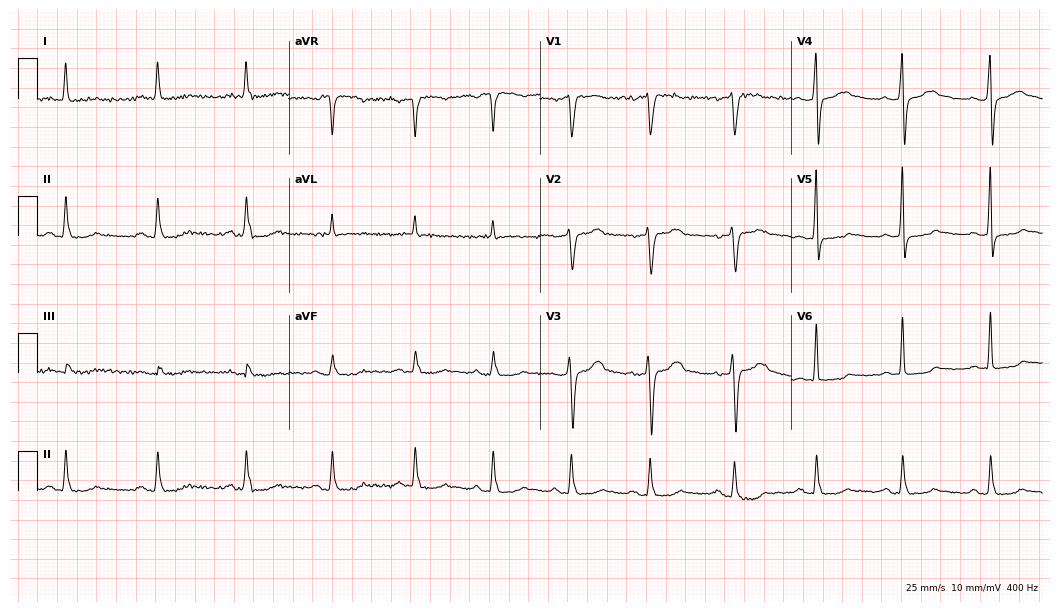
Resting 12-lead electrocardiogram. Patient: a male, 58 years old. None of these six findings is recorded: first-degree AV block, right bundle branch block, left bundle branch block, sinus bradycardia, atrial fibrillation, sinus tachycardia.